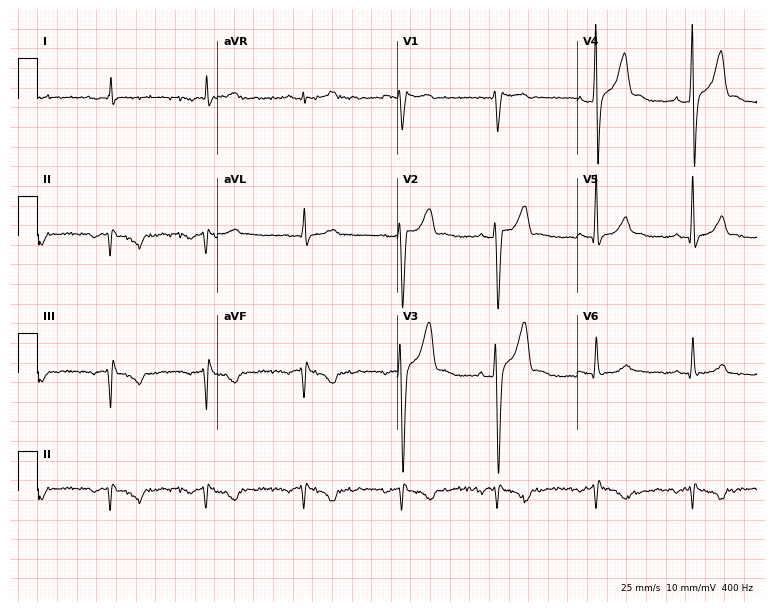
Resting 12-lead electrocardiogram (7.3-second recording at 400 Hz). Patient: a 45-year-old male. None of these six findings is recorded: first-degree AV block, right bundle branch block, left bundle branch block, sinus bradycardia, atrial fibrillation, sinus tachycardia.